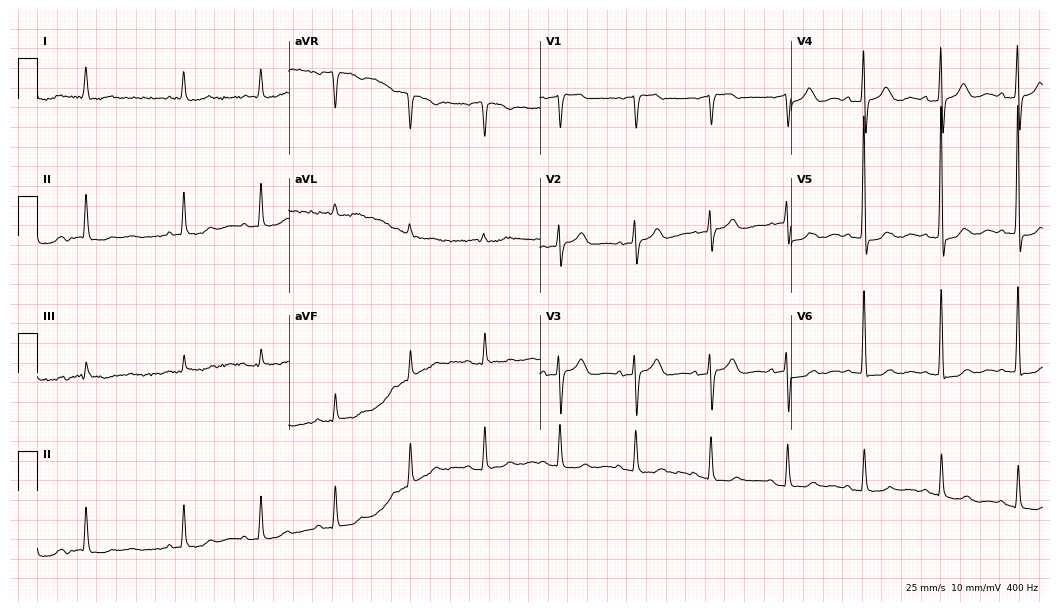
ECG (10.2-second recording at 400 Hz) — a woman, 82 years old. Screened for six findings — first-degree AV block, right bundle branch block (RBBB), left bundle branch block (LBBB), sinus bradycardia, atrial fibrillation (AF), sinus tachycardia — none is recorded.